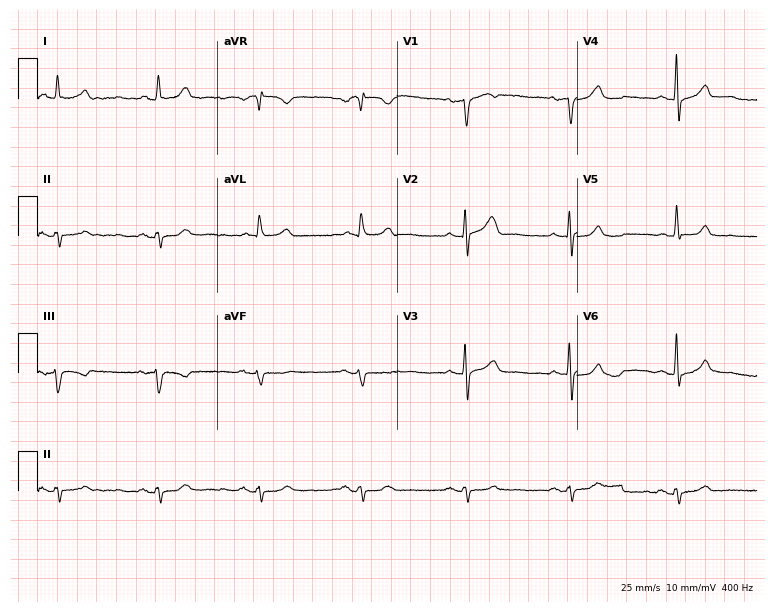
Standard 12-lead ECG recorded from a male patient, 72 years old (7.3-second recording at 400 Hz). None of these six findings is recorded: first-degree AV block, right bundle branch block, left bundle branch block, sinus bradycardia, atrial fibrillation, sinus tachycardia.